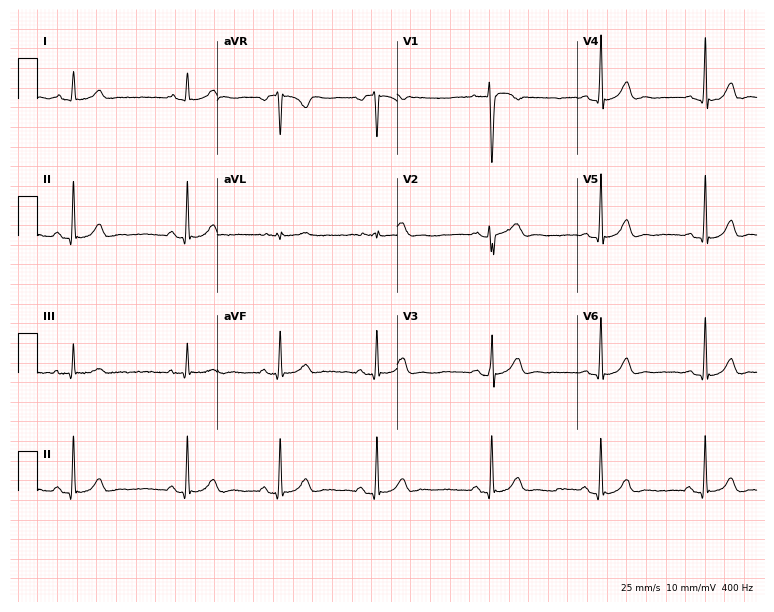
Standard 12-lead ECG recorded from a 17-year-old woman. Read as a normal ECG.